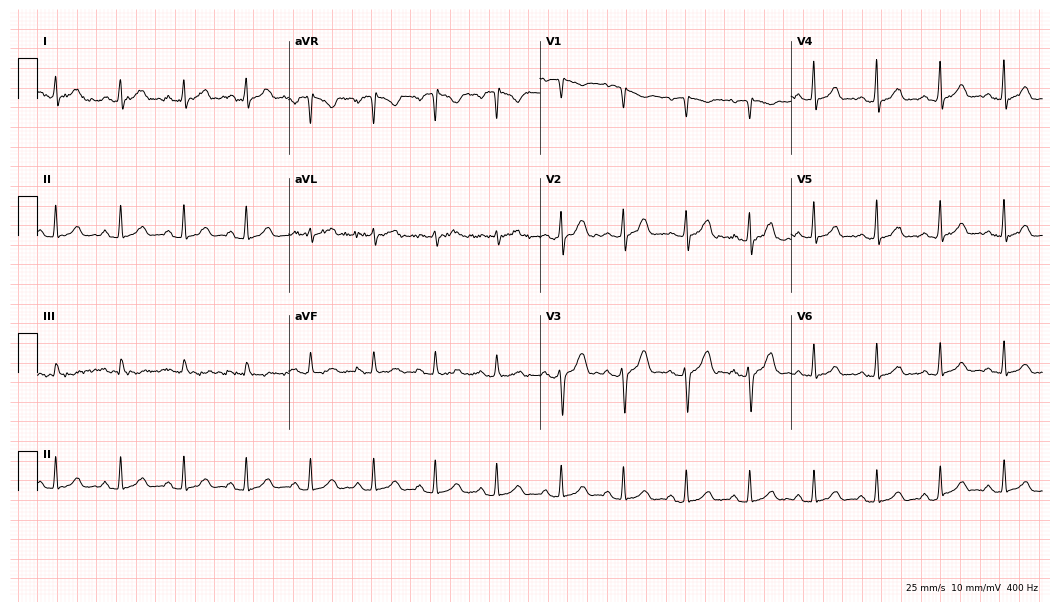
12-lead ECG from a 41-year-old female. Screened for six findings — first-degree AV block, right bundle branch block, left bundle branch block, sinus bradycardia, atrial fibrillation, sinus tachycardia — none is recorded.